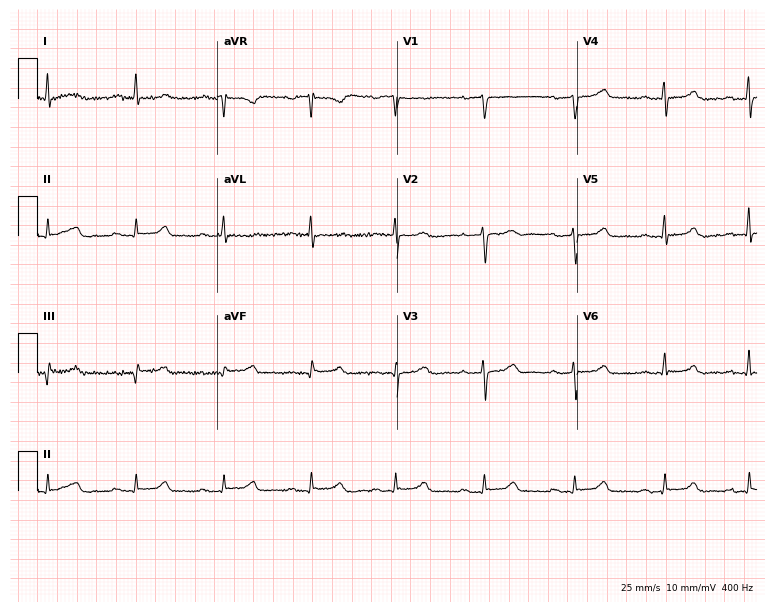
Standard 12-lead ECG recorded from a woman, 59 years old. The tracing shows first-degree AV block.